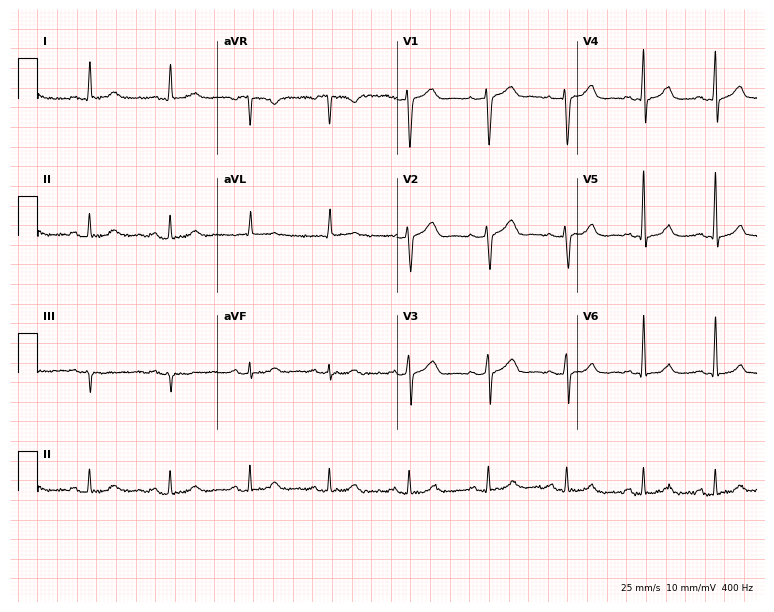
Resting 12-lead electrocardiogram (7.3-second recording at 400 Hz). Patient: a 60-year-old male. None of these six findings is recorded: first-degree AV block, right bundle branch block (RBBB), left bundle branch block (LBBB), sinus bradycardia, atrial fibrillation (AF), sinus tachycardia. Only these six findings were labelled.